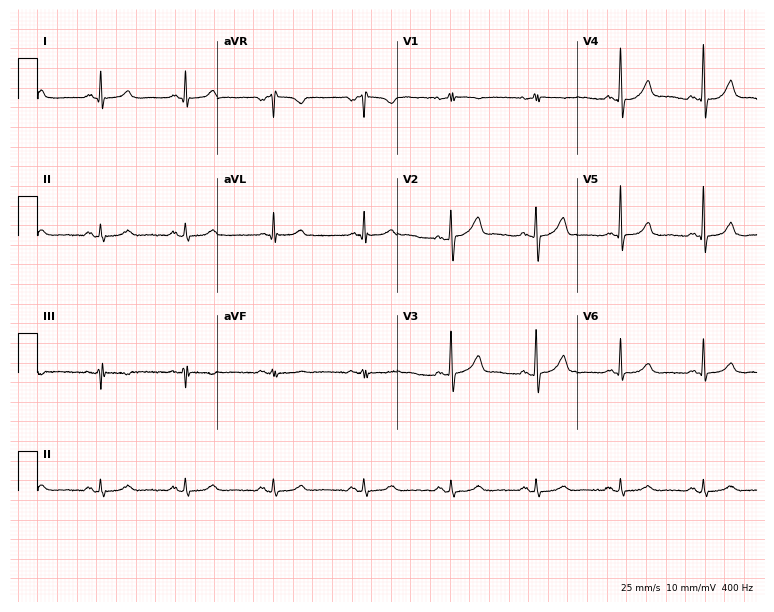
12-lead ECG from a female patient, 49 years old. No first-degree AV block, right bundle branch block (RBBB), left bundle branch block (LBBB), sinus bradycardia, atrial fibrillation (AF) or sinus tachycardia recorded for this tracing.